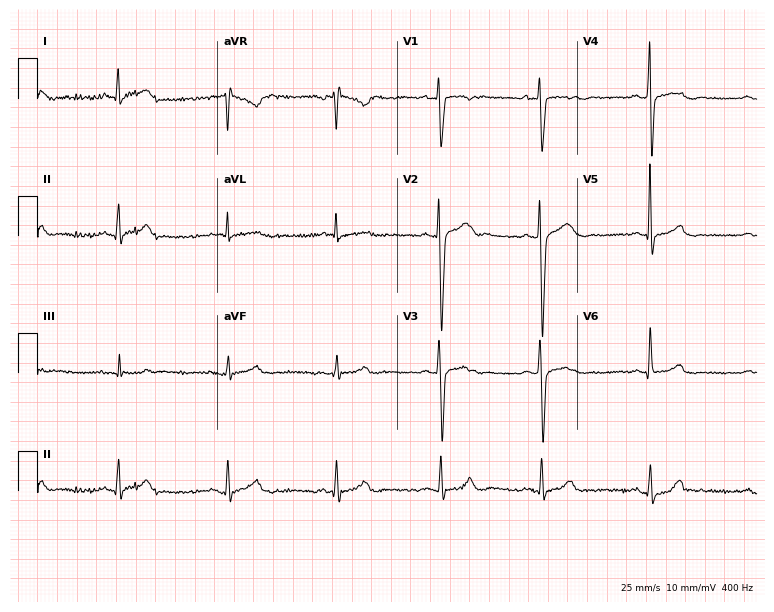
Standard 12-lead ECG recorded from a 43-year-old male patient. Read as a normal ECG.